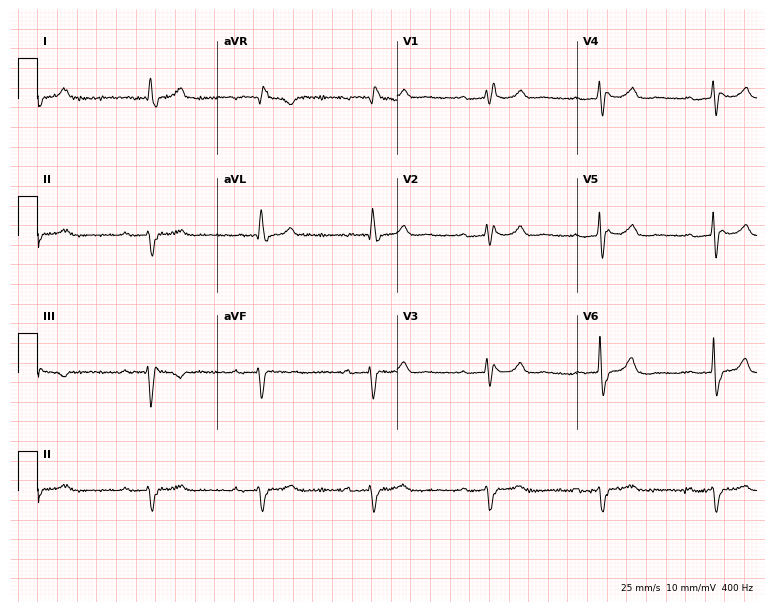
Resting 12-lead electrocardiogram (7.3-second recording at 400 Hz). Patient: a male, 79 years old. The tracing shows first-degree AV block, right bundle branch block.